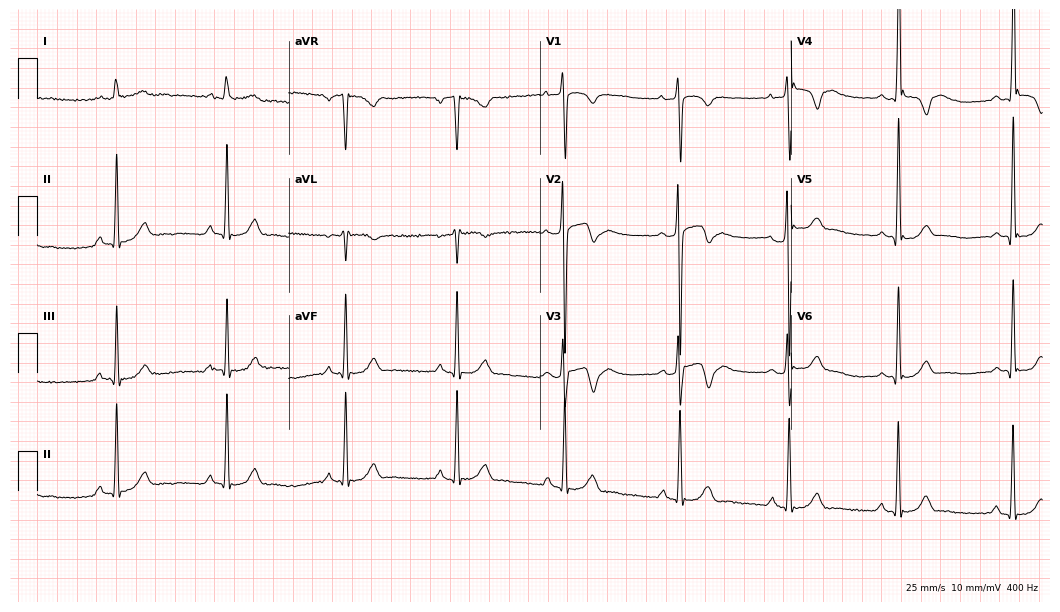
Standard 12-lead ECG recorded from a man, 23 years old (10.2-second recording at 400 Hz). None of these six findings is recorded: first-degree AV block, right bundle branch block, left bundle branch block, sinus bradycardia, atrial fibrillation, sinus tachycardia. Only these six findings were labelled.